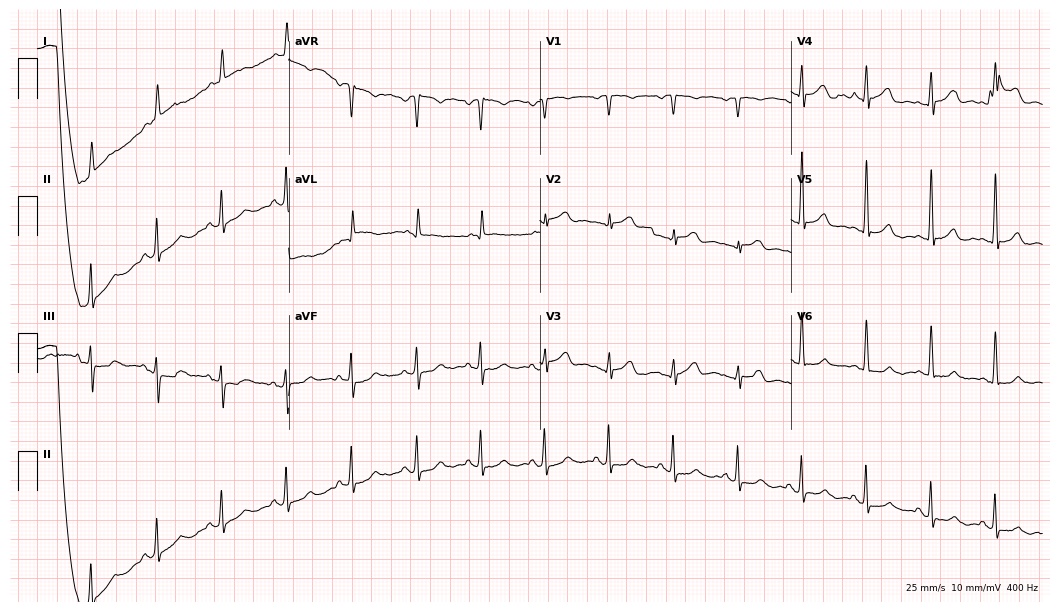
Resting 12-lead electrocardiogram (10.2-second recording at 400 Hz). Patient: a 62-year-old man. Read as a normal ECG.